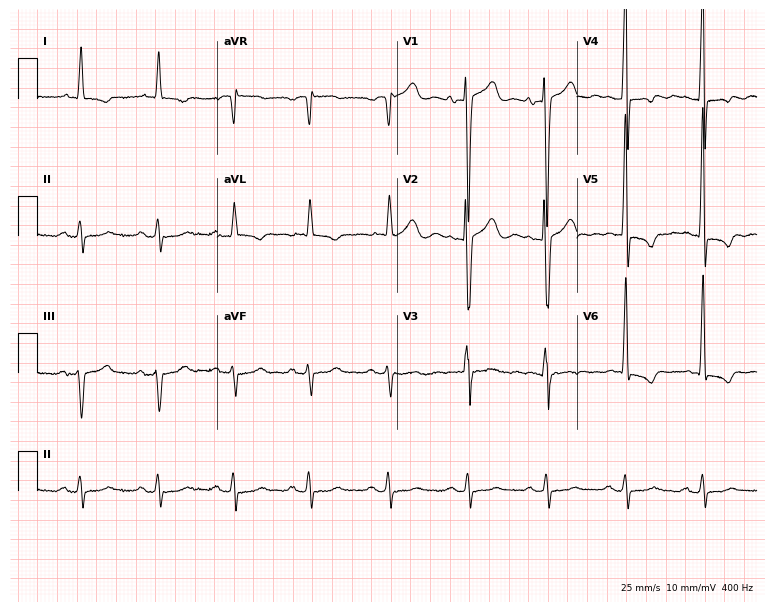
12-lead ECG (7.3-second recording at 400 Hz) from a male patient, 84 years old. Screened for six findings — first-degree AV block, right bundle branch block (RBBB), left bundle branch block (LBBB), sinus bradycardia, atrial fibrillation (AF), sinus tachycardia — none is recorded. Other findings, if any, are not listed.